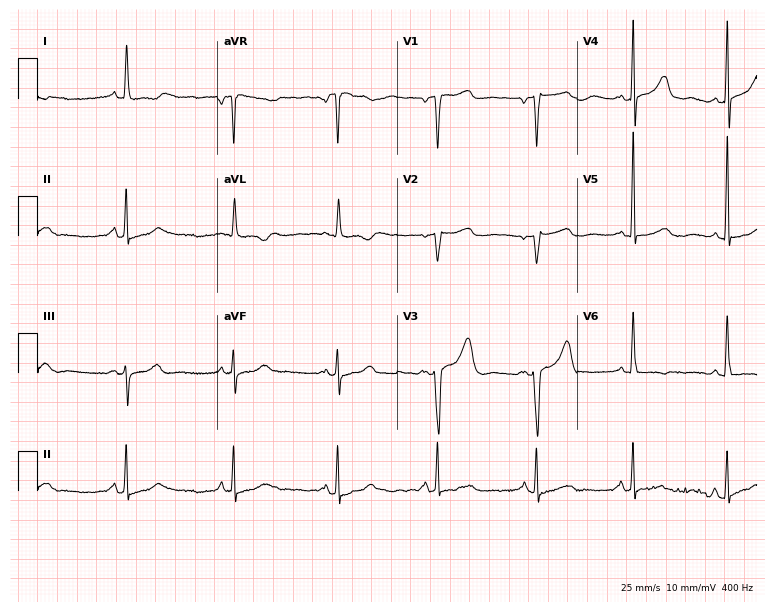
ECG — a 71-year-old female. Screened for six findings — first-degree AV block, right bundle branch block (RBBB), left bundle branch block (LBBB), sinus bradycardia, atrial fibrillation (AF), sinus tachycardia — none is recorded. Other findings, if any, are not listed.